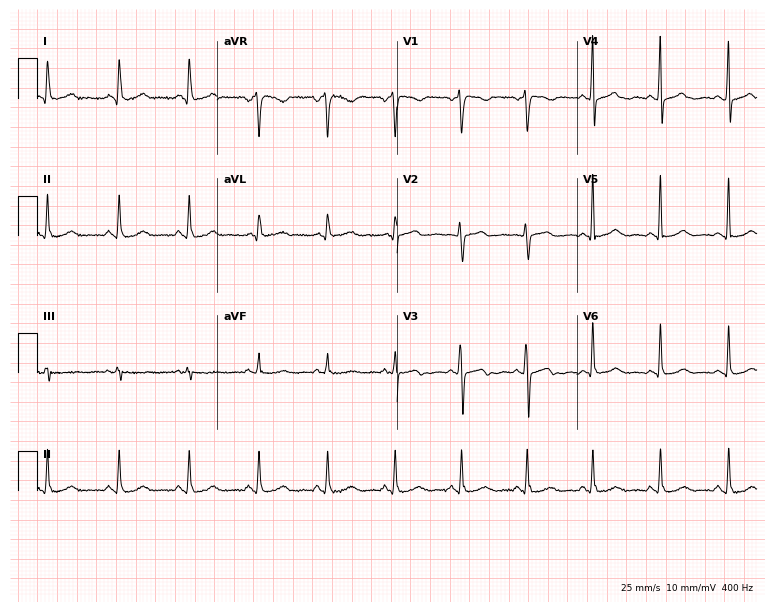
ECG — a female, 73 years old. Screened for six findings — first-degree AV block, right bundle branch block, left bundle branch block, sinus bradycardia, atrial fibrillation, sinus tachycardia — none is recorded. Other findings, if any, are not listed.